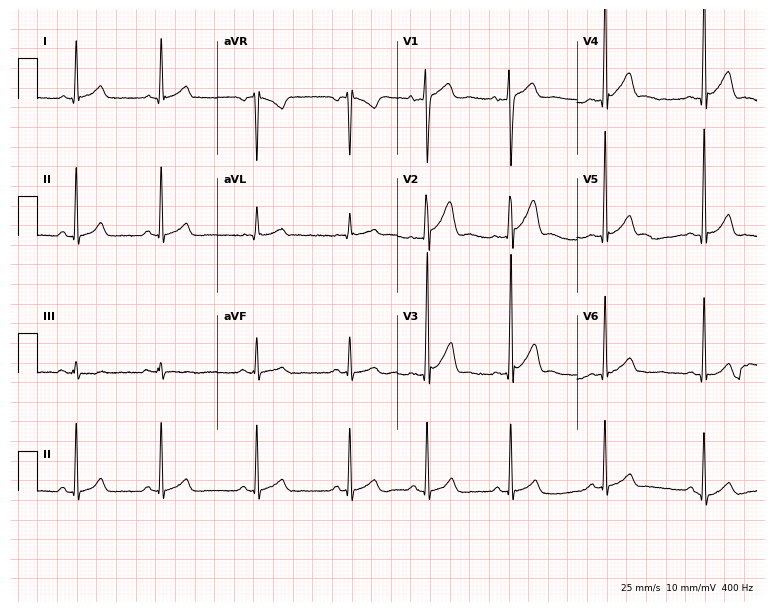
12-lead ECG from a 25-year-old male patient. Recorded interpretation: within normal limits.